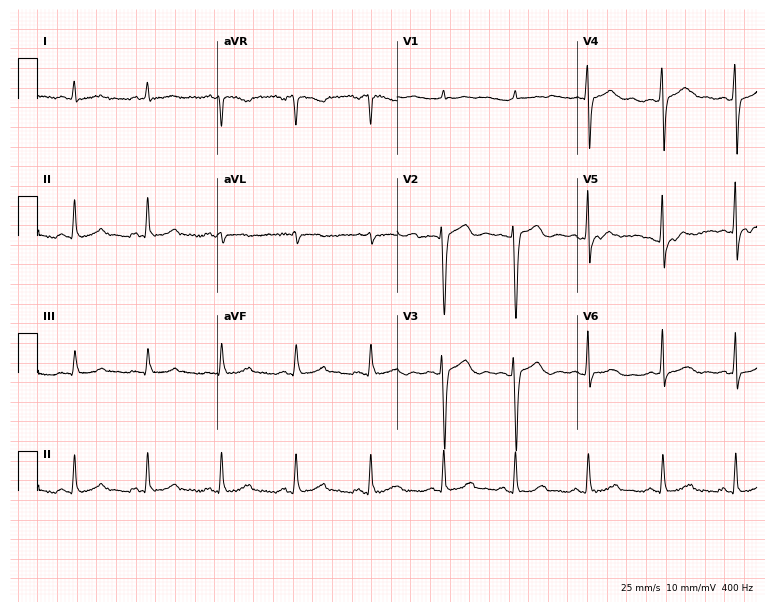
12-lead ECG from a 41-year-old female. No first-degree AV block, right bundle branch block, left bundle branch block, sinus bradycardia, atrial fibrillation or sinus tachycardia recorded for this tracing. Findings outside these six are not listed.